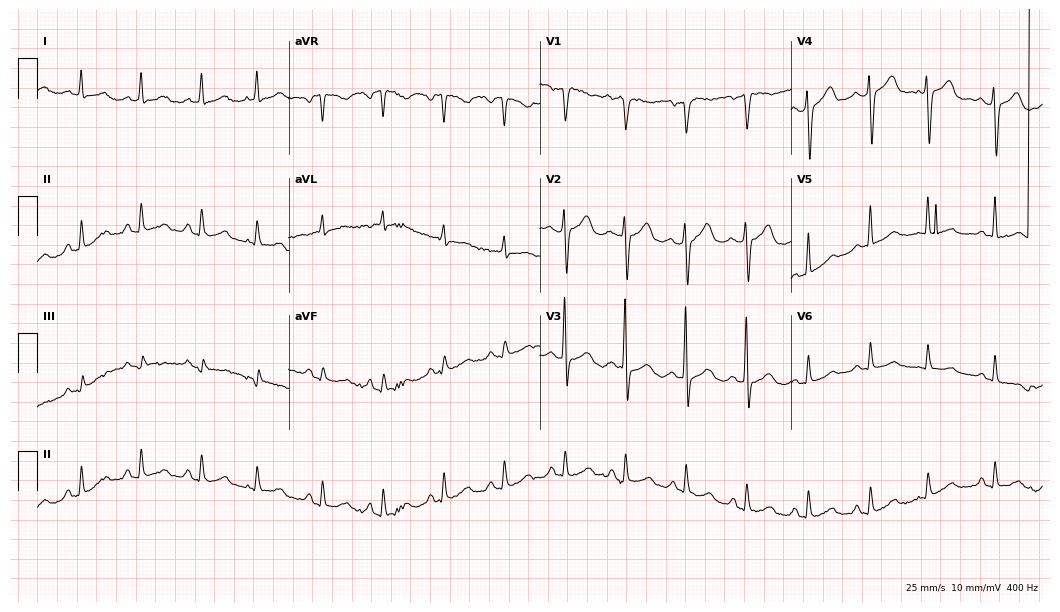
12-lead ECG from a female, 62 years old (10.2-second recording at 400 Hz). No first-degree AV block, right bundle branch block, left bundle branch block, sinus bradycardia, atrial fibrillation or sinus tachycardia recorded for this tracing.